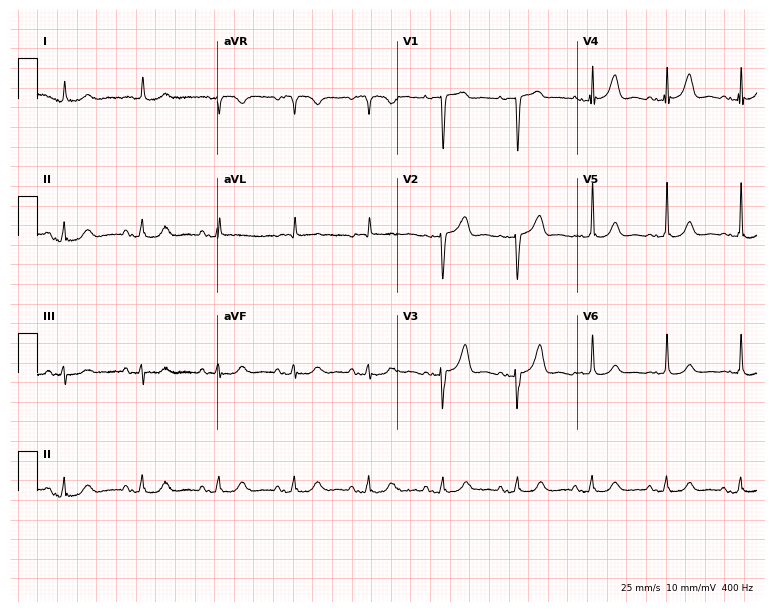
12-lead ECG from an 81-year-old man. No first-degree AV block, right bundle branch block, left bundle branch block, sinus bradycardia, atrial fibrillation or sinus tachycardia recorded for this tracing. Findings outside these six are not listed.